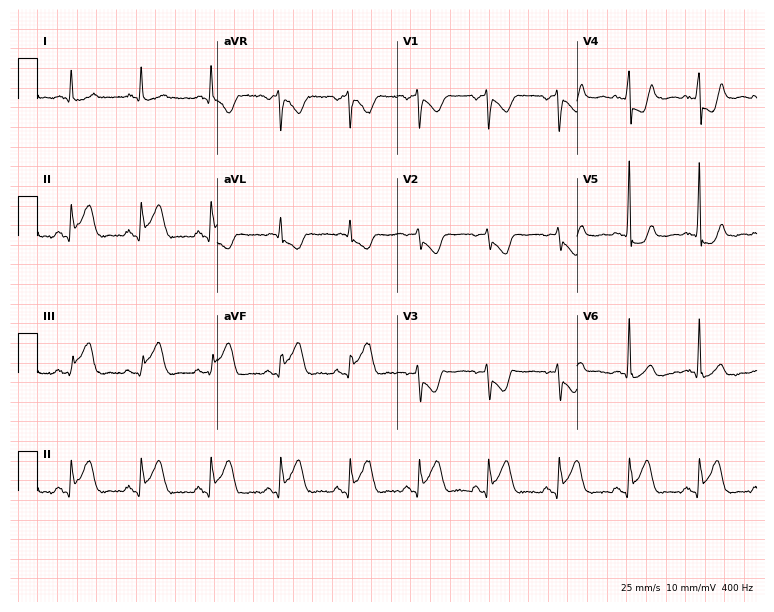
12-lead ECG from a man, 47 years old. No first-degree AV block, right bundle branch block, left bundle branch block, sinus bradycardia, atrial fibrillation or sinus tachycardia recorded for this tracing.